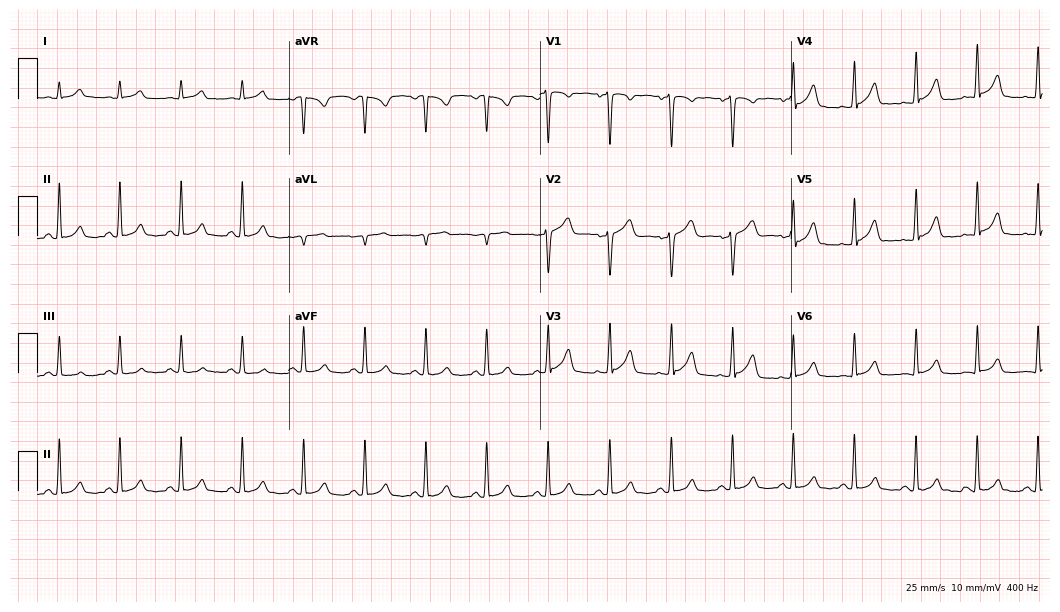
ECG (10.2-second recording at 400 Hz) — a 41-year-old male. Screened for six findings — first-degree AV block, right bundle branch block (RBBB), left bundle branch block (LBBB), sinus bradycardia, atrial fibrillation (AF), sinus tachycardia — none is recorded. Findings outside these six are not listed.